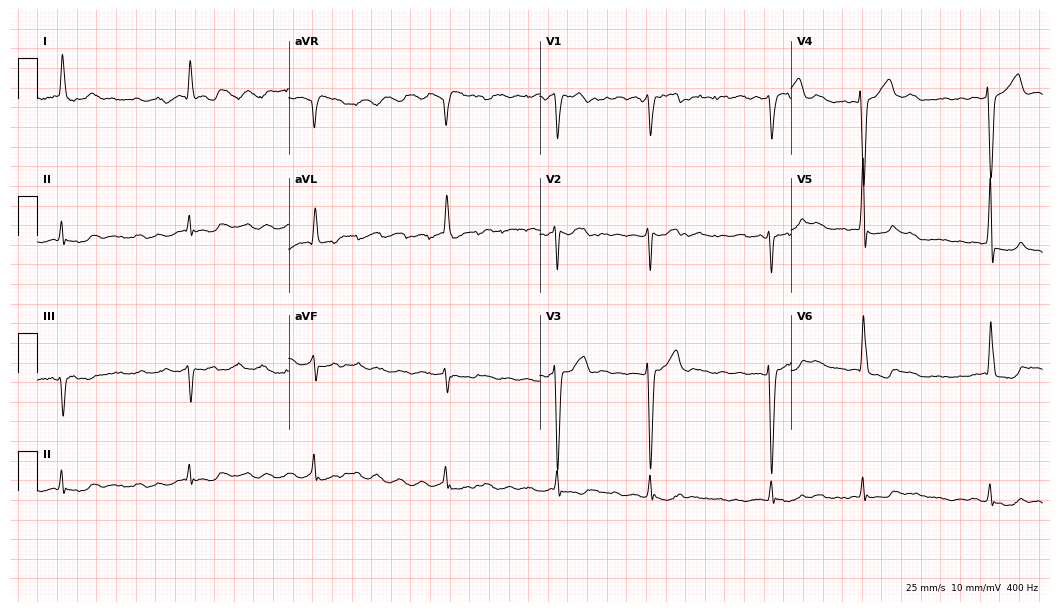
Standard 12-lead ECG recorded from a male patient, 79 years old (10.2-second recording at 400 Hz). The tracing shows atrial fibrillation (AF).